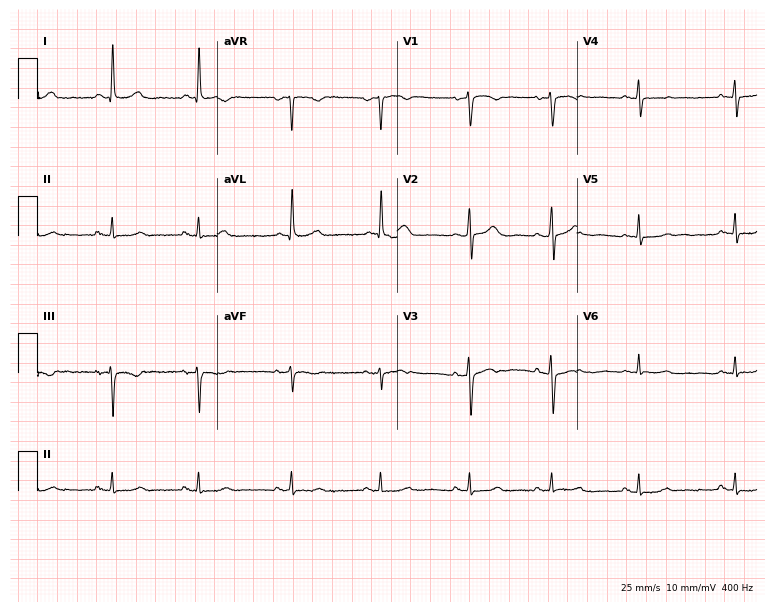
ECG (7.3-second recording at 400 Hz) — a female, 82 years old. Screened for six findings — first-degree AV block, right bundle branch block (RBBB), left bundle branch block (LBBB), sinus bradycardia, atrial fibrillation (AF), sinus tachycardia — none is recorded.